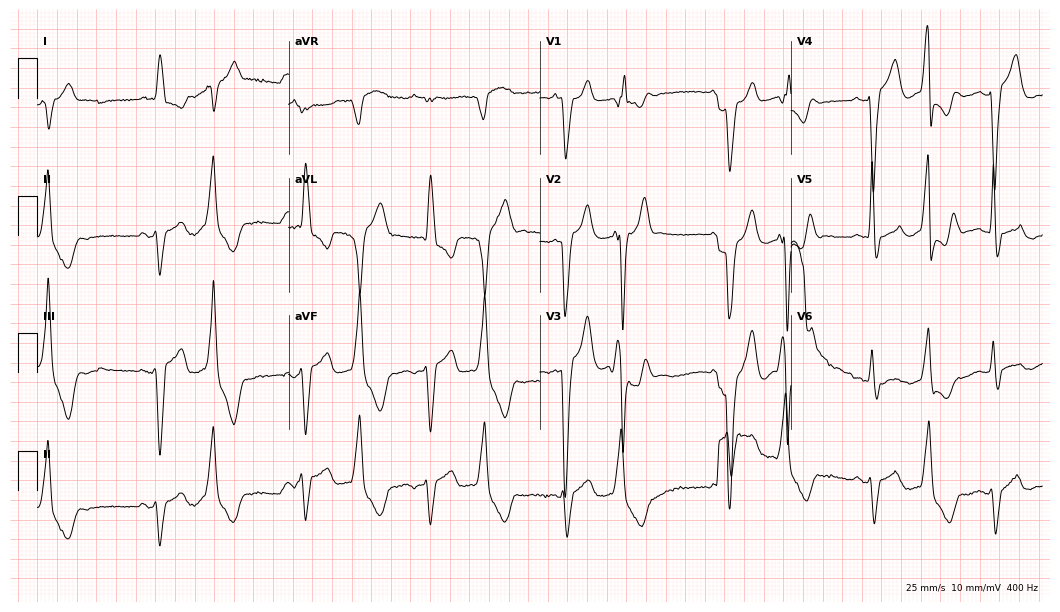
12-lead ECG from a man, 81 years old. Findings include left bundle branch block.